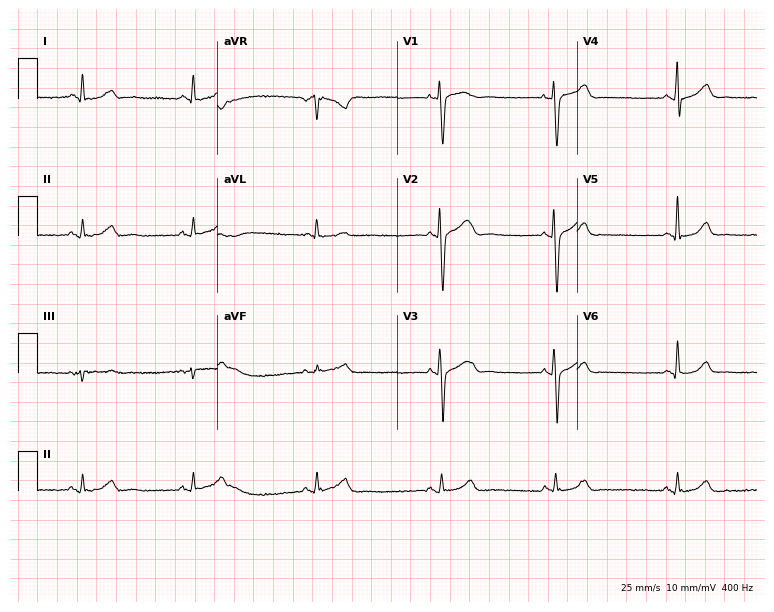
12-lead ECG from a 33-year-old woman. Labelled as a normal ECG.